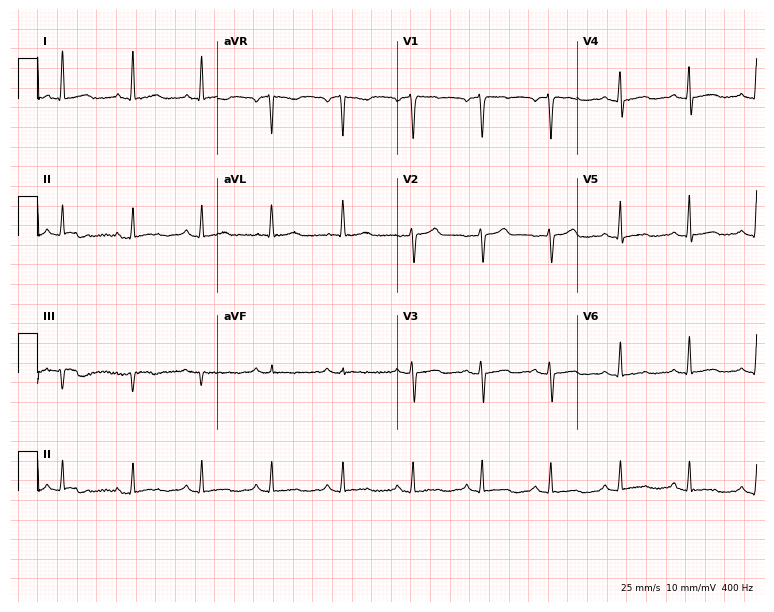
12-lead ECG from a woman, 52 years old (7.3-second recording at 400 Hz). No first-degree AV block, right bundle branch block, left bundle branch block, sinus bradycardia, atrial fibrillation or sinus tachycardia recorded for this tracing. Only these six findings were labelled.